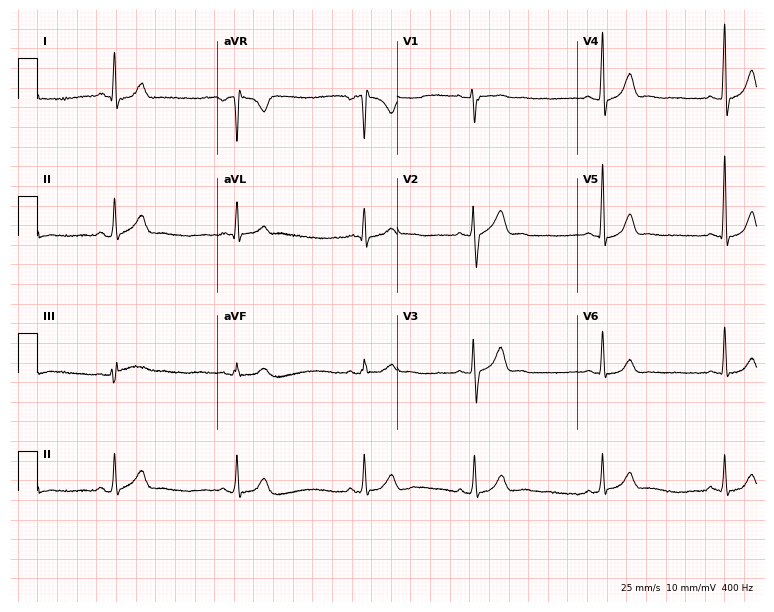
12-lead ECG from a 32-year-old male. Labelled as a normal ECG.